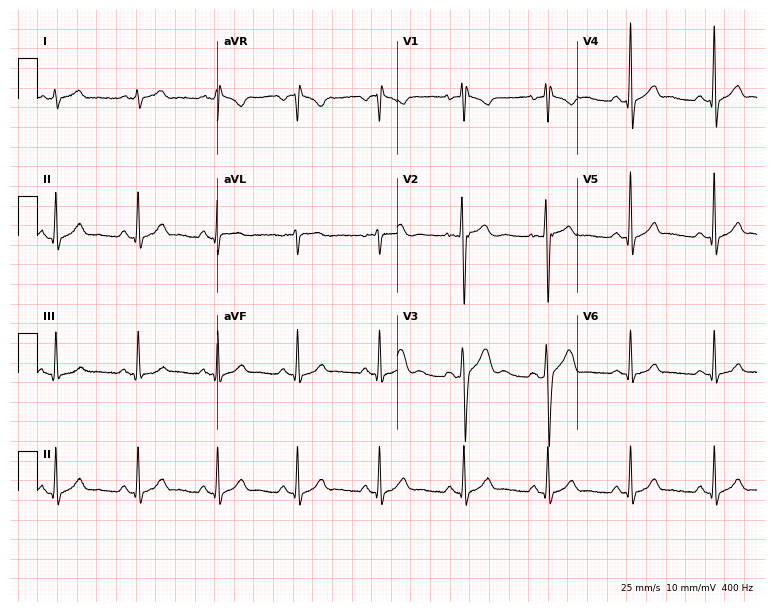
ECG — a male, 23 years old. Labelled as a normal ECG.